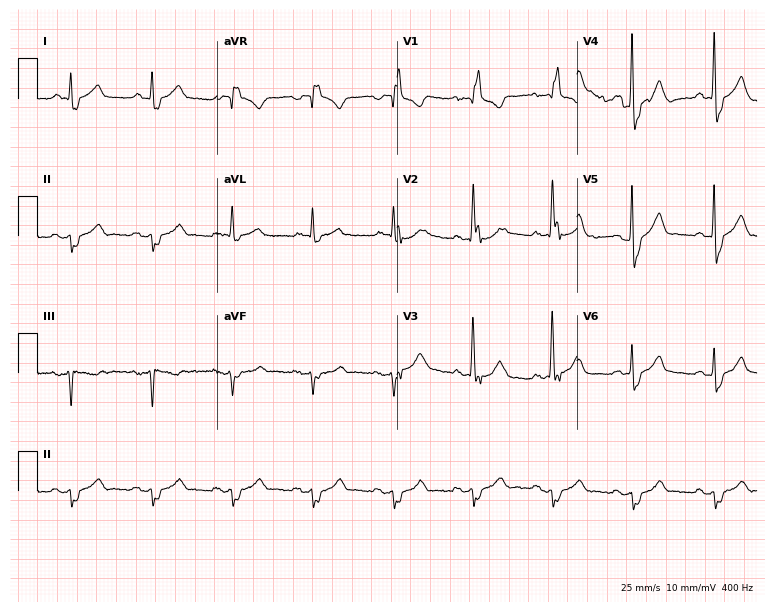
Standard 12-lead ECG recorded from a 76-year-old male (7.3-second recording at 400 Hz). The tracing shows right bundle branch block (RBBB).